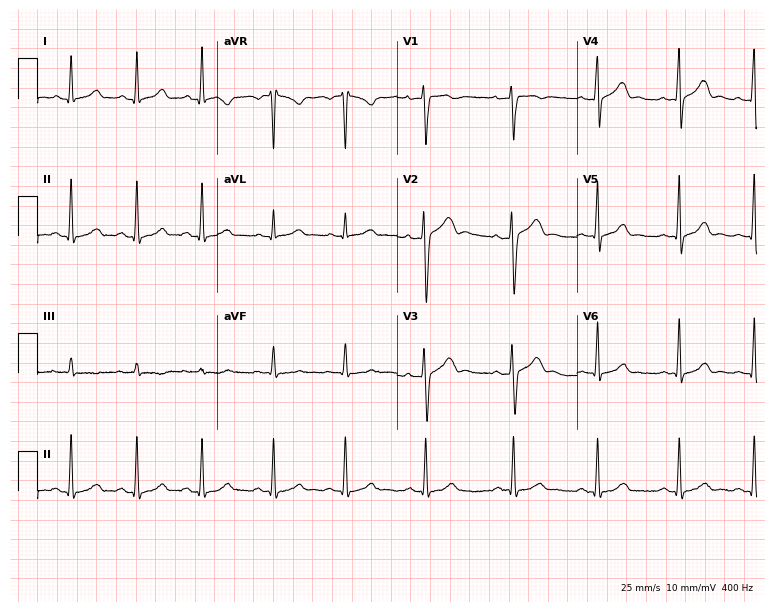
12-lead ECG from a female, 20 years old (7.3-second recording at 400 Hz). Recorded interpretation: within normal limits.